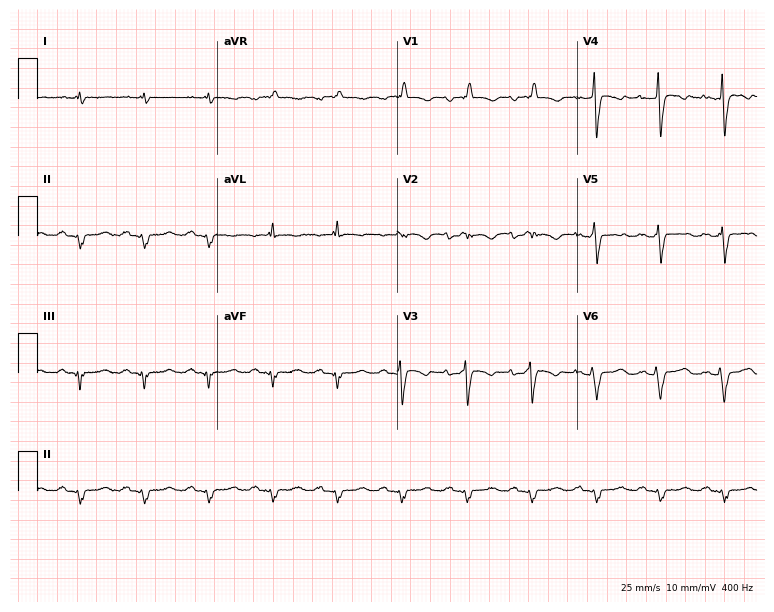
Standard 12-lead ECG recorded from a 41-year-old male. None of these six findings is recorded: first-degree AV block, right bundle branch block, left bundle branch block, sinus bradycardia, atrial fibrillation, sinus tachycardia.